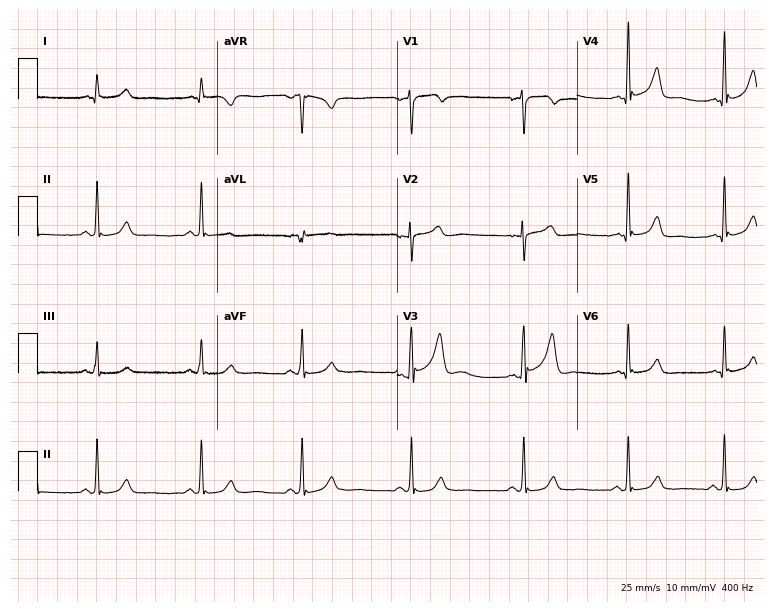
Electrocardiogram (7.3-second recording at 400 Hz), a 30-year-old man. Overall reading on record: normal ECG.